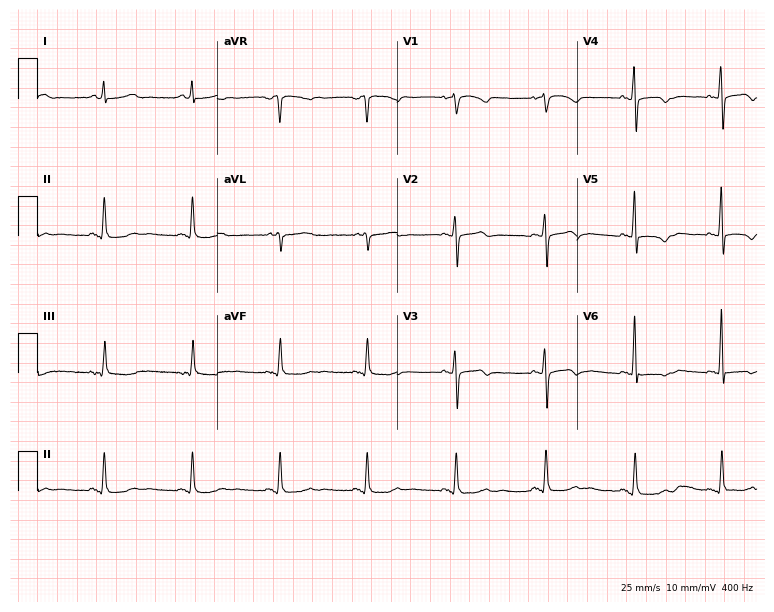
Standard 12-lead ECG recorded from a female patient, 60 years old (7.3-second recording at 400 Hz). None of these six findings is recorded: first-degree AV block, right bundle branch block (RBBB), left bundle branch block (LBBB), sinus bradycardia, atrial fibrillation (AF), sinus tachycardia. Findings outside these six are not listed.